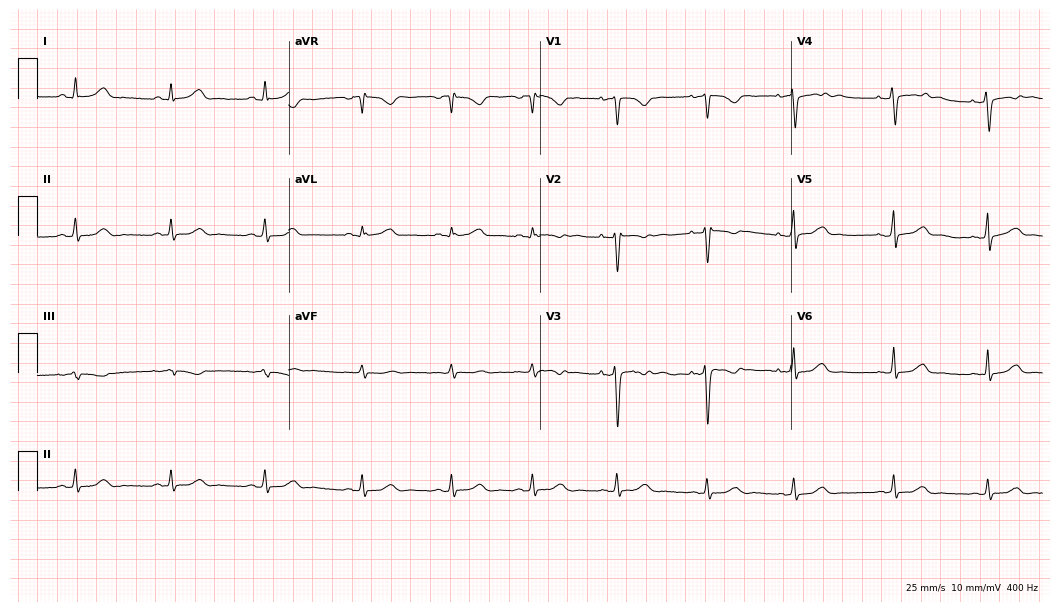
ECG — a 32-year-old woman. Labelled as a normal ECG.